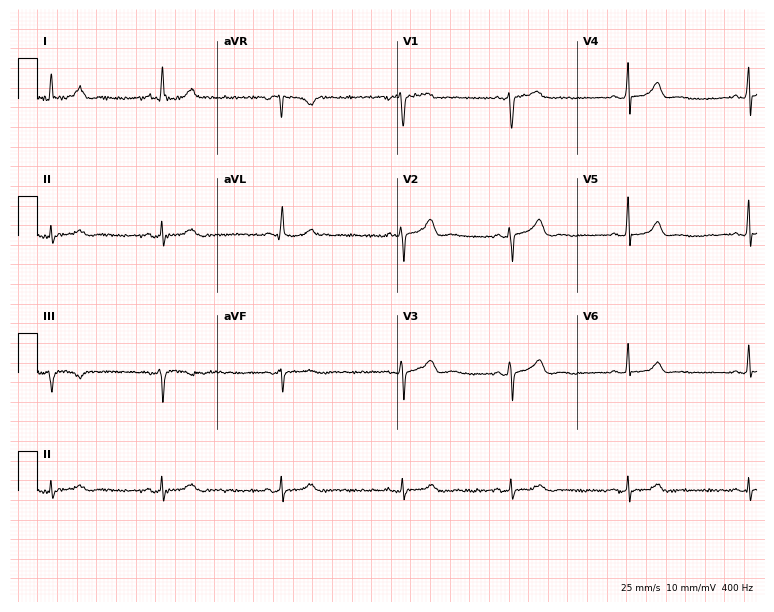
12-lead ECG from a 44-year-old female (7.3-second recording at 400 Hz). Recorded interpretation: within normal limits.